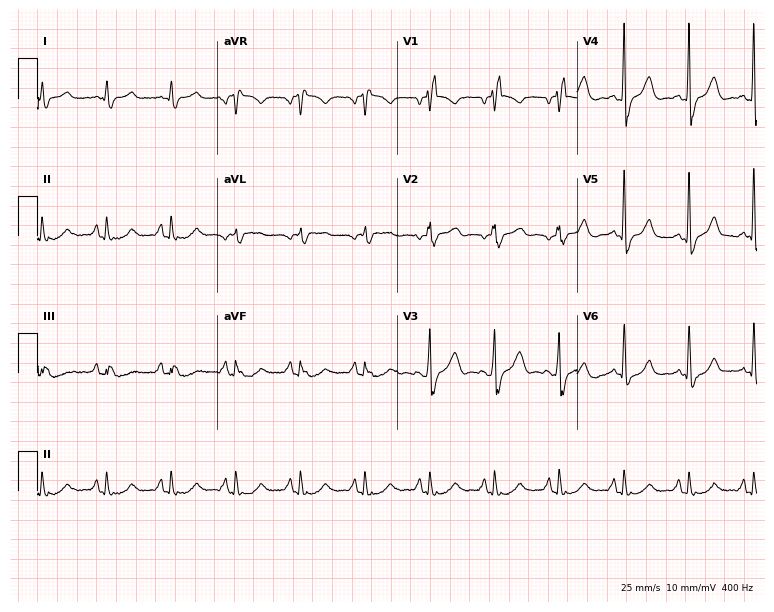
12-lead ECG from a male, 81 years old. Shows right bundle branch block.